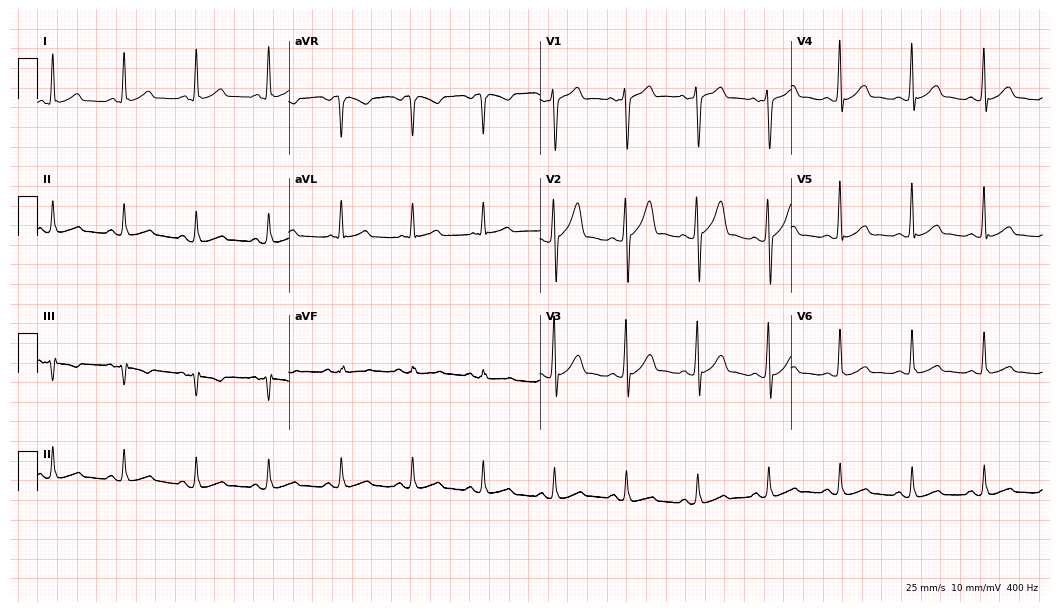
ECG (10.2-second recording at 400 Hz) — a 50-year-old male. Labelled as a normal ECG.